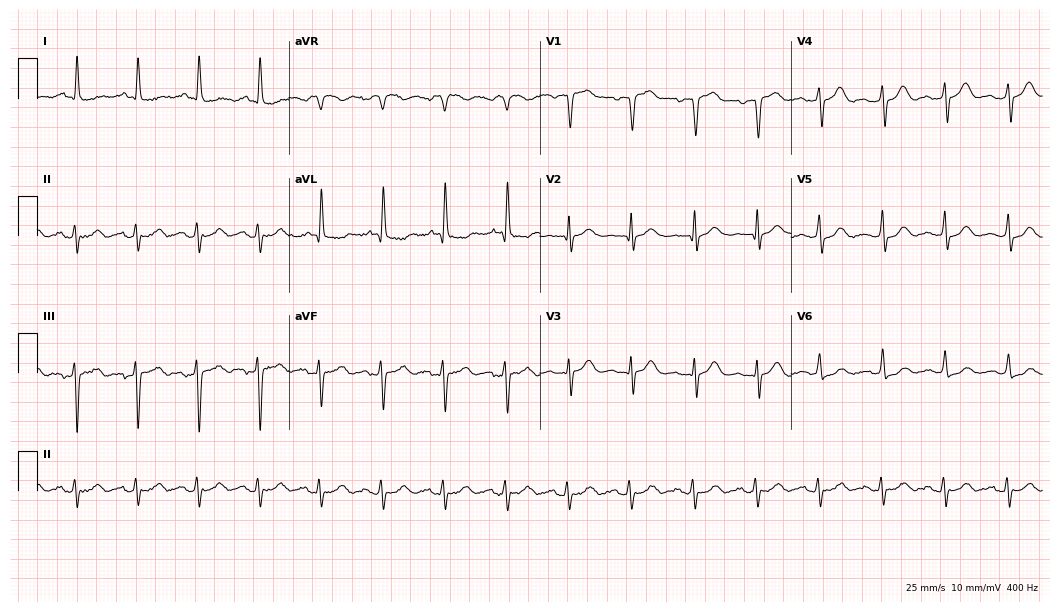
12-lead ECG from a 77-year-old male patient. Screened for six findings — first-degree AV block, right bundle branch block, left bundle branch block, sinus bradycardia, atrial fibrillation, sinus tachycardia — none is recorded. Findings outside these six are not listed.